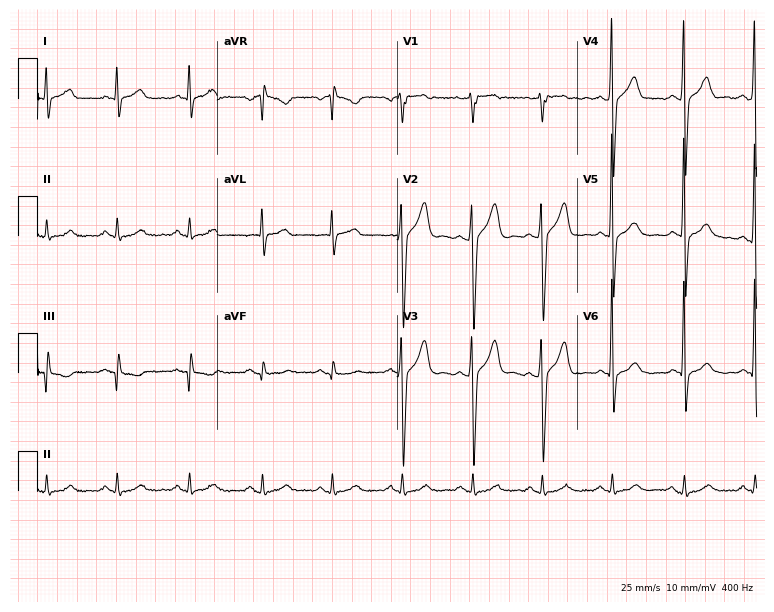
12-lead ECG from a 46-year-old man. Recorded interpretation: within normal limits.